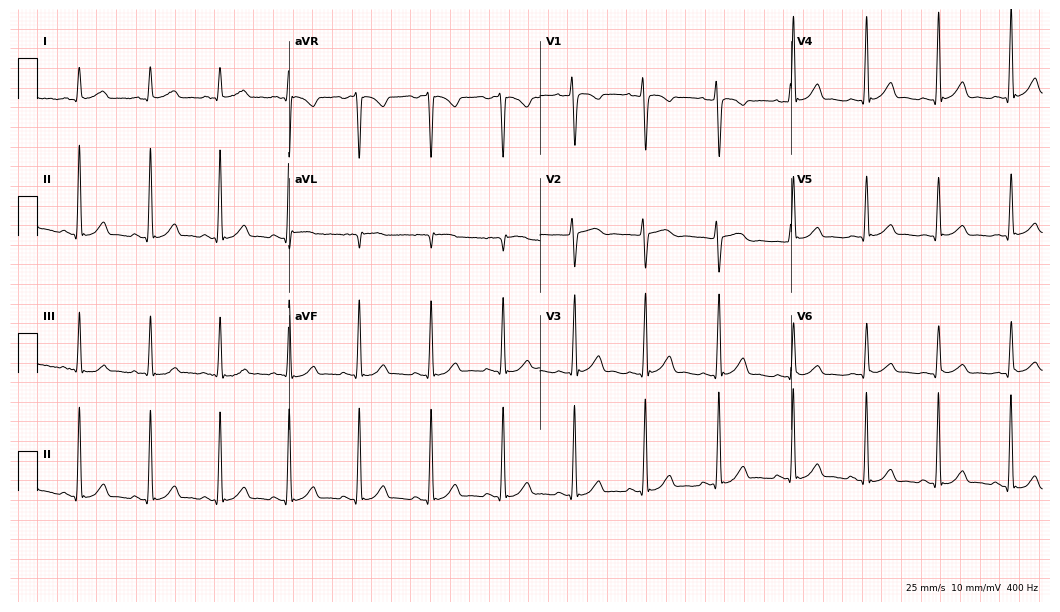
Resting 12-lead electrocardiogram. Patient: a female, 32 years old. None of these six findings is recorded: first-degree AV block, right bundle branch block, left bundle branch block, sinus bradycardia, atrial fibrillation, sinus tachycardia.